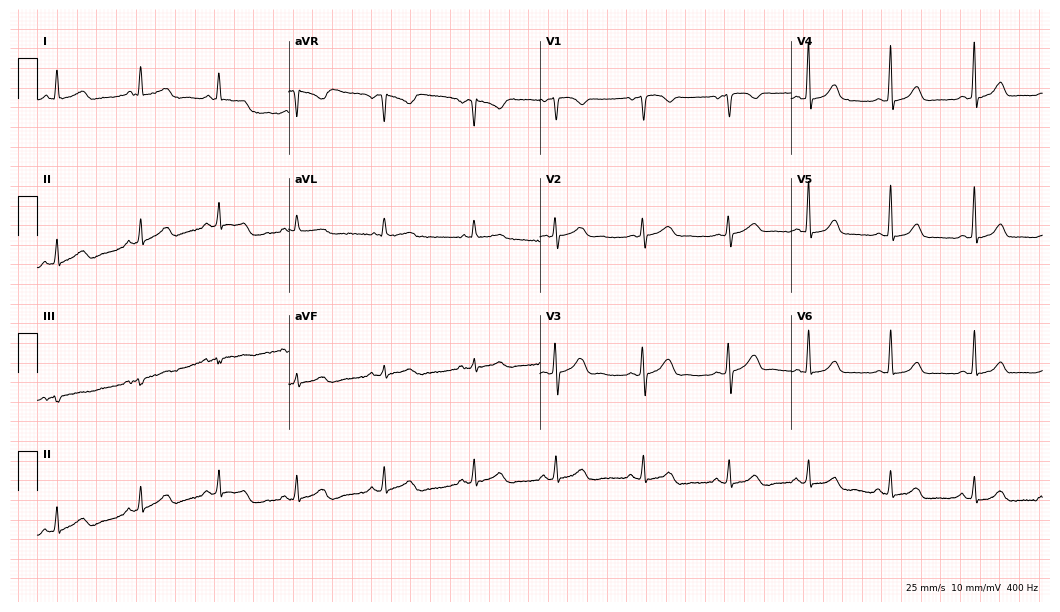
Resting 12-lead electrocardiogram. Patient: a 43-year-old female. None of these six findings is recorded: first-degree AV block, right bundle branch block, left bundle branch block, sinus bradycardia, atrial fibrillation, sinus tachycardia. Findings outside these six are not listed.